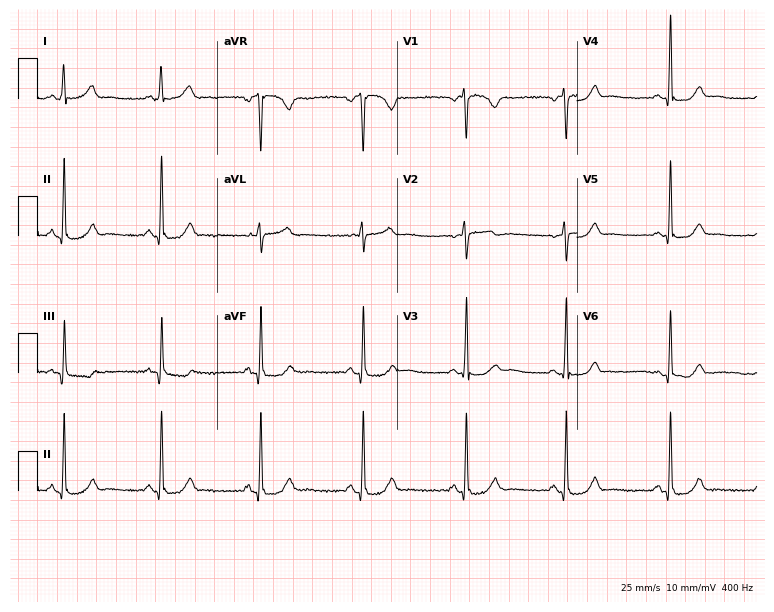
ECG (7.3-second recording at 400 Hz) — a 53-year-old woman. Labelled as a normal ECG.